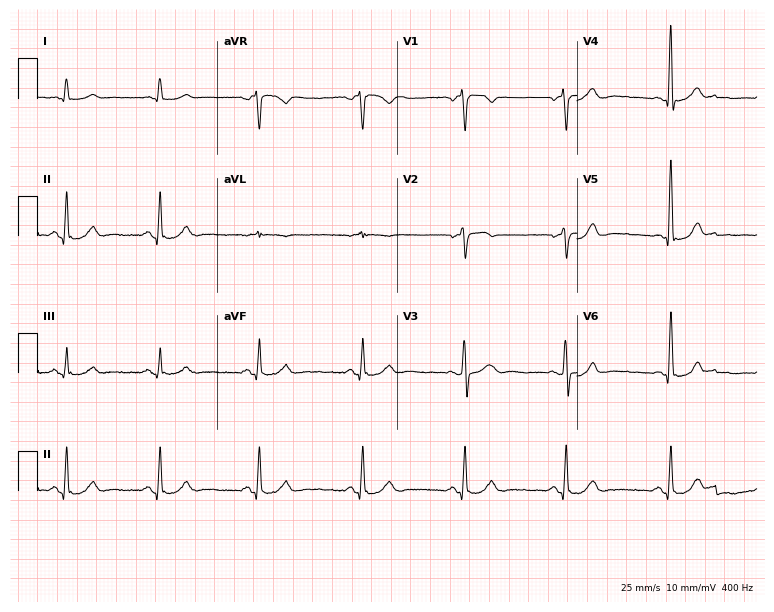
12-lead ECG from a male patient, 59 years old. Recorded interpretation: within normal limits.